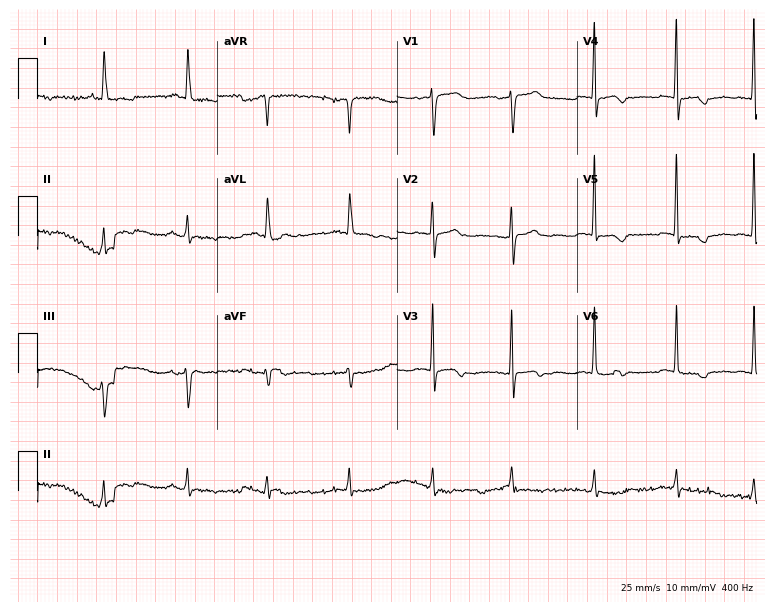
12-lead ECG from a female, 73 years old. Screened for six findings — first-degree AV block, right bundle branch block (RBBB), left bundle branch block (LBBB), sinus bradycardia, atrial fibrillation (AF), sinus tachycardia — none is recorded. Findings outside these six are not listed.